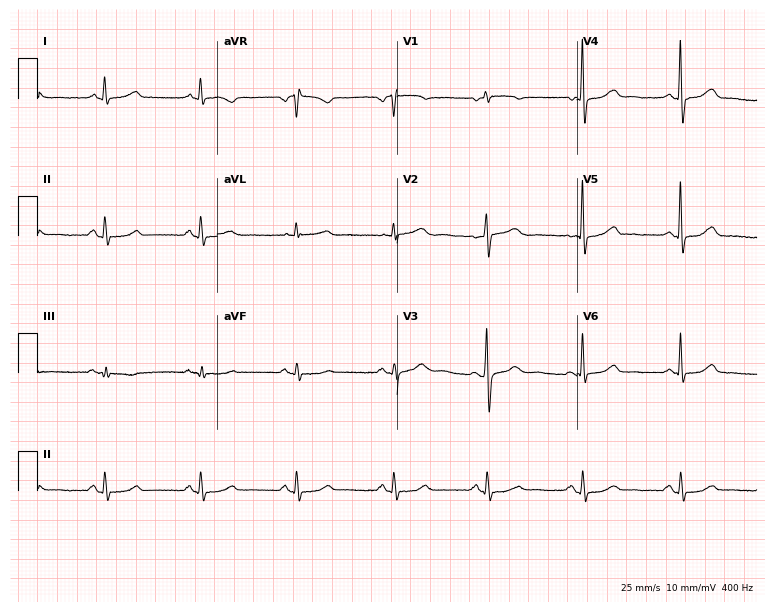
Standard 12-lead ECG recorded from a woman, 64 years old (7.3-second recording at 400 Hz). Read as a normal ECG.